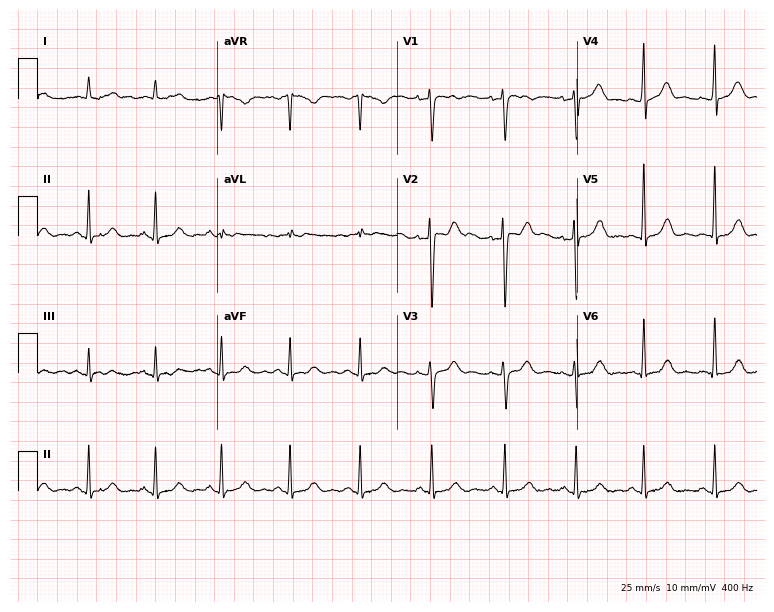
12-lead ECG from a 22-year-old female patient. Labelled as a normal ECG.